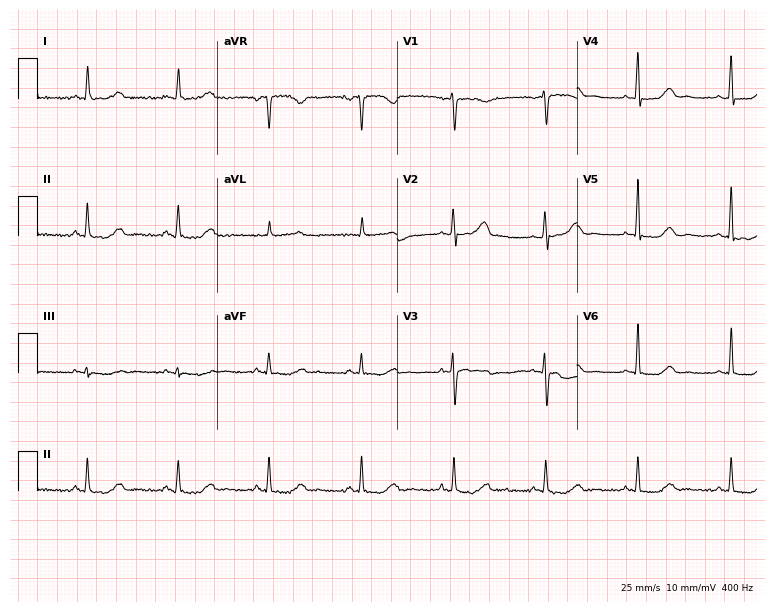
Electrocardiogram (7.3-second recording at 400 Hz), a 55-year-old female patient. Overall reading on record: normal ECG.